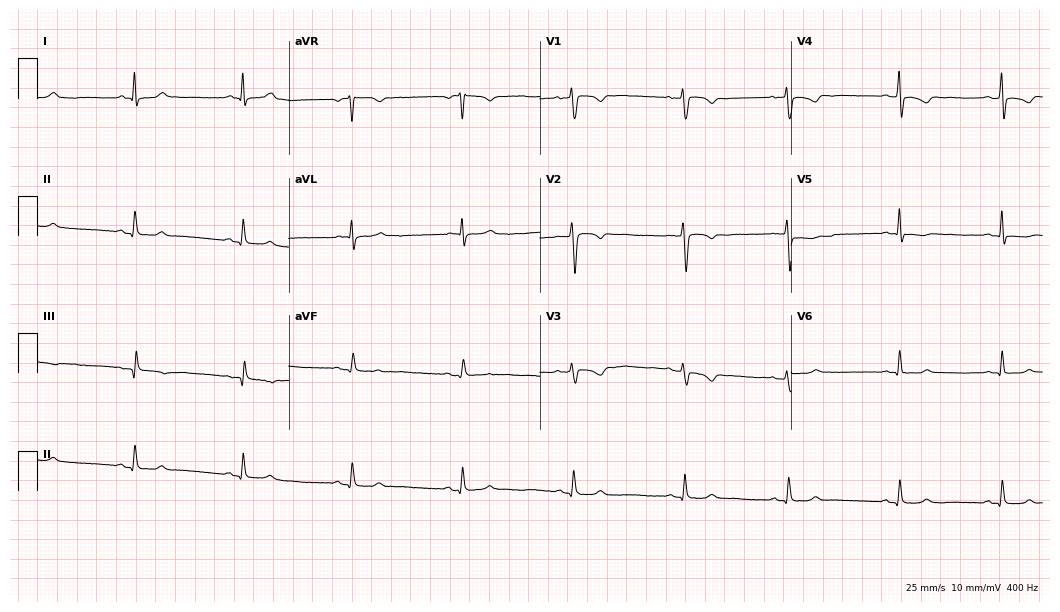
Electrocardiogram (10.2-second recording at 400 Hz), a 21-year-old female. Of the six screened findings (first-degree AV block, right bundle branch block, left bundle branch block, sinus bradycardia, atrial fibrillation, sinus tachycardia), none is recorded.